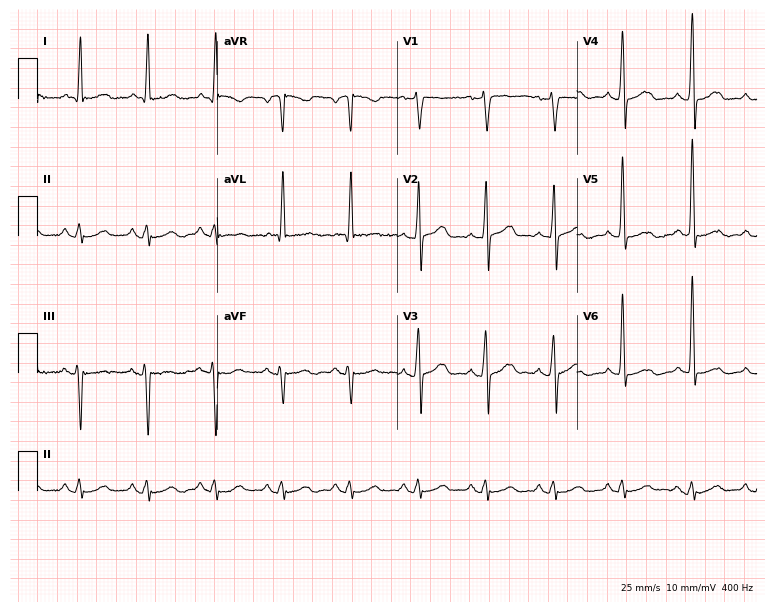
Resting 12-lead electrocardiogram. Patient: a 78-year-old man. None of these six findings is recorded: first-degree AV block, right bundle branch block, left bundle branch block, sinus bradycardia, atrial fibrillation, sinus tachycardia. Only these six findings were labelled.